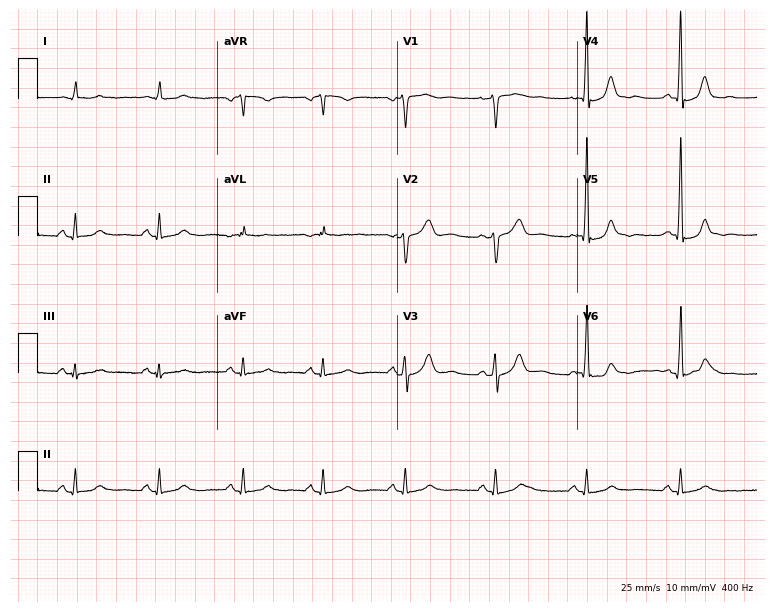
Resting 12-lead electrocardiogram (7.3-second recording at 400 Hz). Patient: a 65-year-old male. None of these six findings is recorded: first-degree AV block, right bundle branch block (RBBB), left bundle branch block (LBBB), sinus bradycardia, atrial fibrillation (AF), sinus tachycardia.